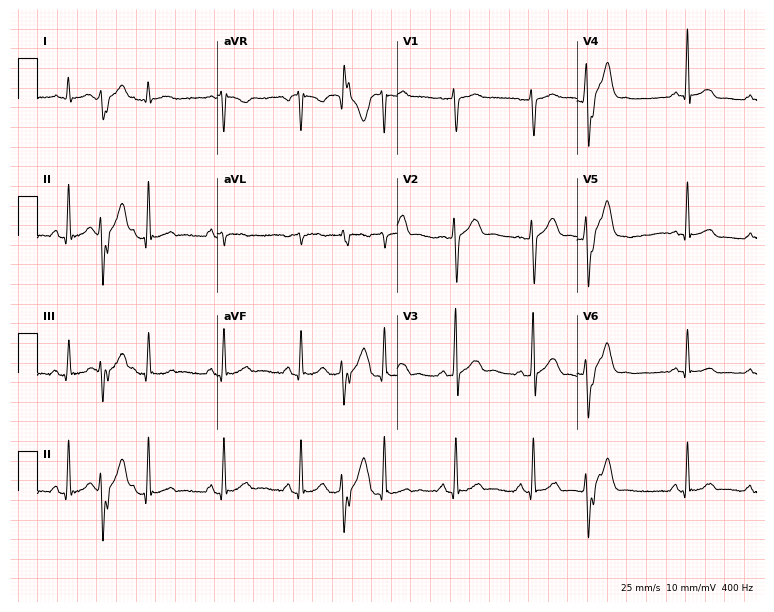
12-lead ECG from a male patient, 44 years old (7.3-second recording at 400 Hz). No first-degree AV block, right bundle branch block, left bundle branch block, sinus bradycardia, atrial fibrillation or sinus tachycardia recorded for this tracing.